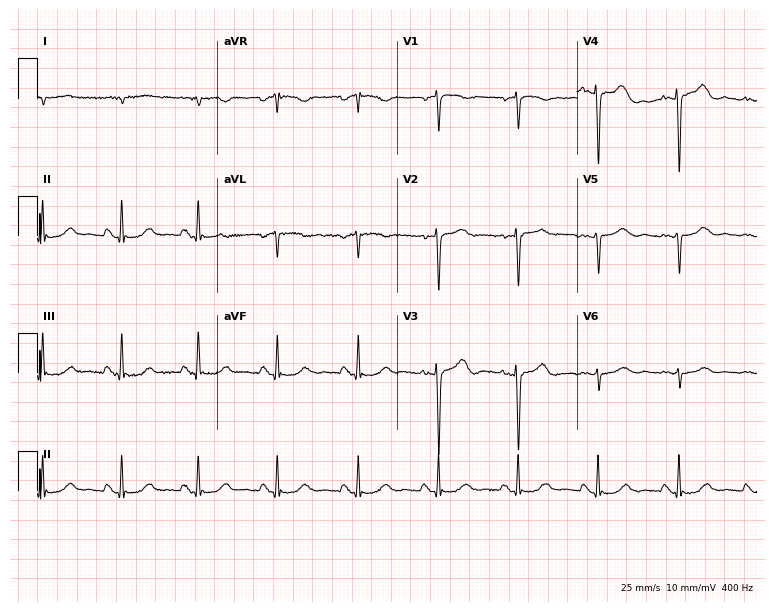
12-lead ECG from a female, 79 years old. No first-degree AV block, right bundle branch block (RBBB), left bundle branch block (LBBB), sinus bradycardia, atrial fibrillation (AF) or sinus tachycardia recorded for this tracing.